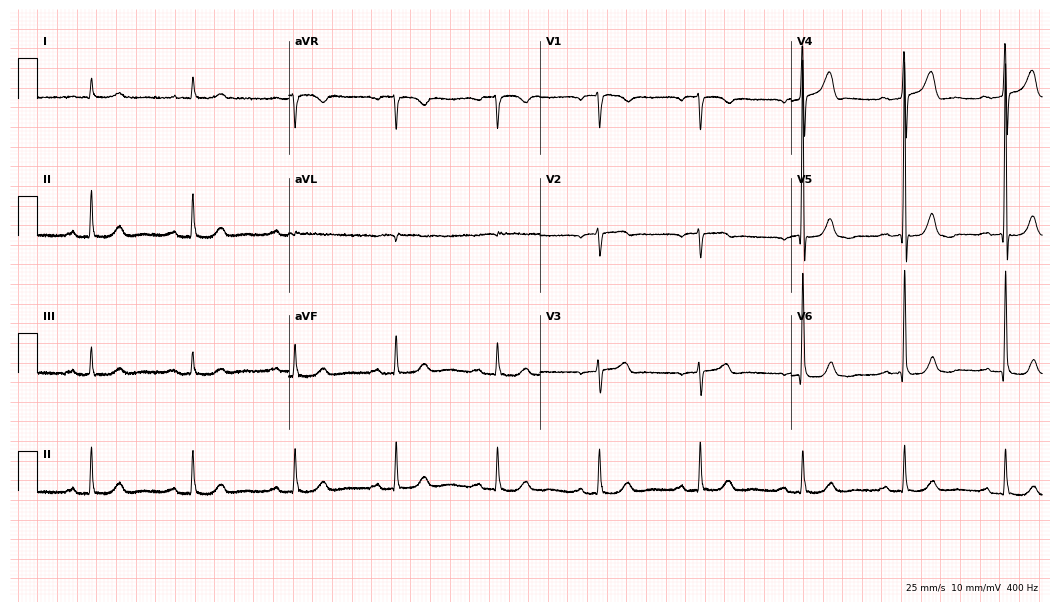
Resting 12-lead electrocardiogram. Patient: a male, 81 years old. The tracing shows first-degree AV block.